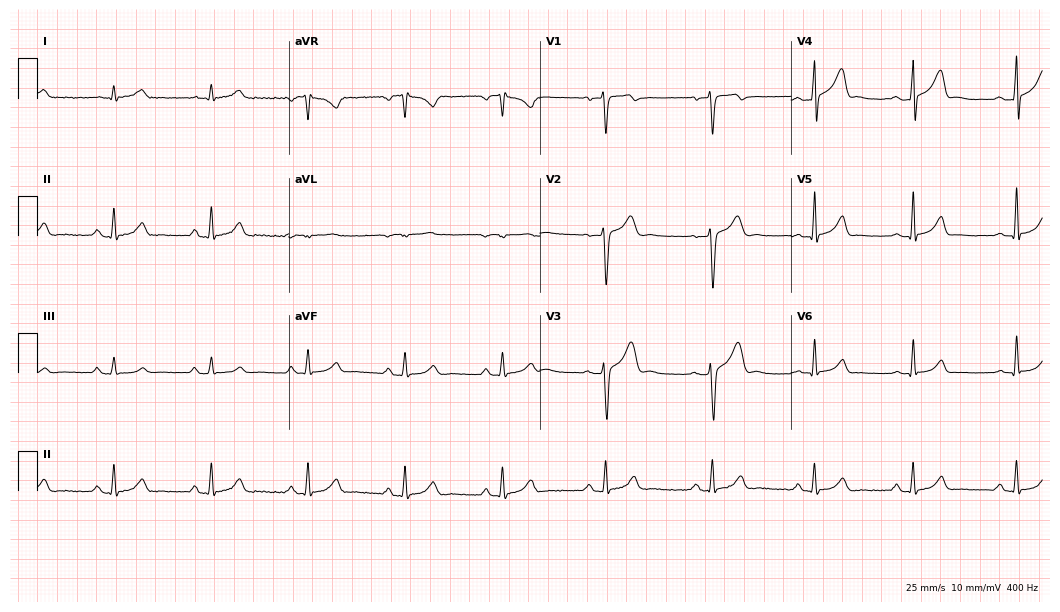
Resting 12-lead electrocardiogram. Patient: a male, 38 years old. Read as a normal ECG.